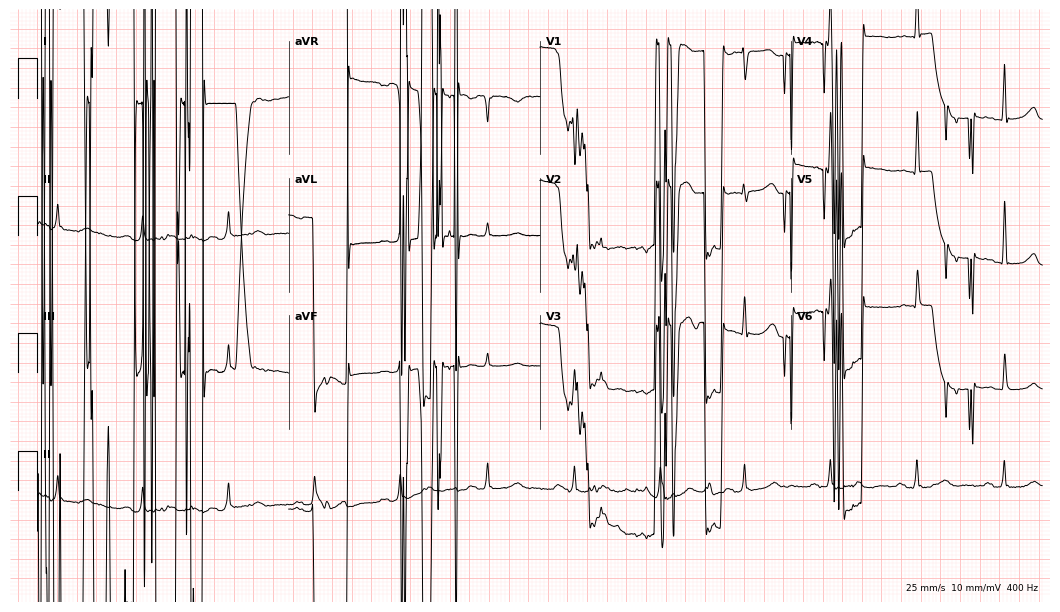
12-lead ECG from a female patient, 85 years old. Screened for six findings — first-degree AV block, right bundle branch block, left bundle branch block, sinus bradycardia, atrial fibrillation, sinus tachycardia — none is recorded. Findings outside these six are not listed.